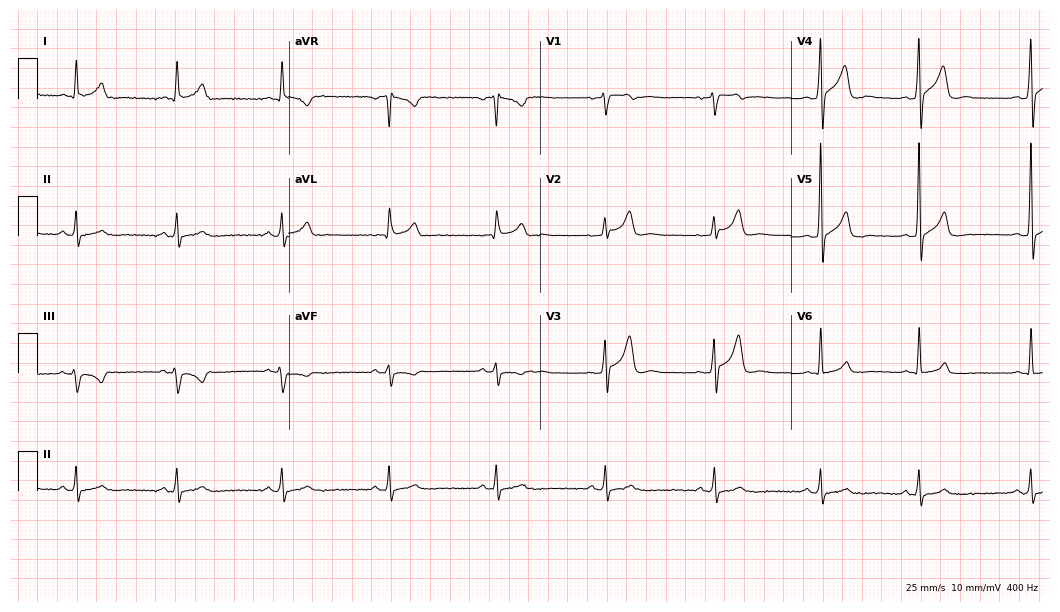
Standard 12-lead ECG recorded from a 32-year-old male patient (10.2-second recording at 400 Hz). None of these six findings is recorded: first-degree AV block, right bundle branch block, left bundle branch block, sinus bradycardia, atrial fibrillation, sinus tachycardia. Only these six findings were labelled.